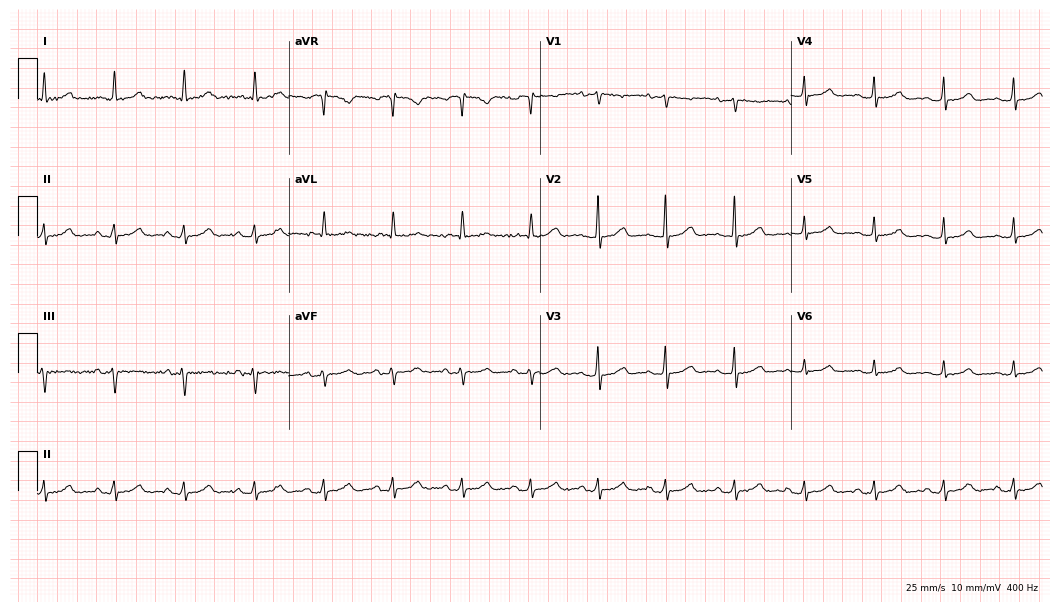
Electrocardiogram, a female, 66 years old. Overall reading on record: normal ECG.